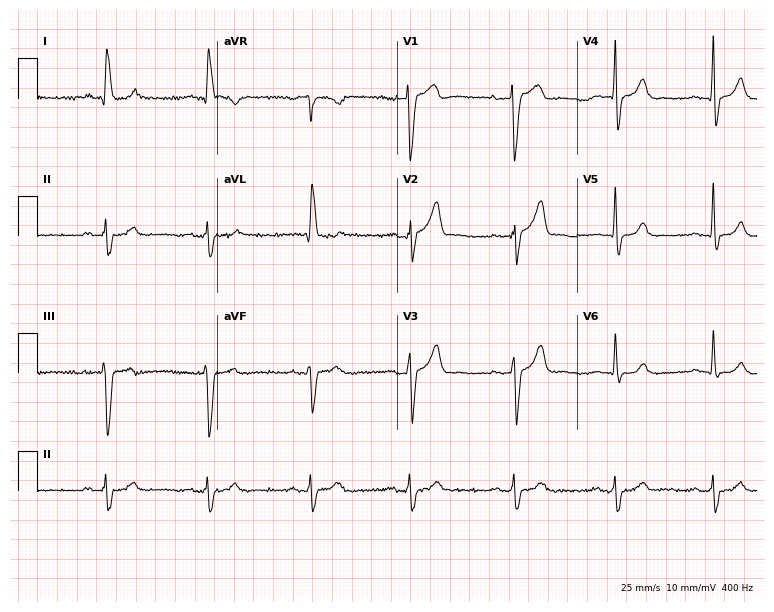
Electrocardiogram (7.3-second recording at 400 Hz), a 71-year-old male patient. Of the six screened findings (first-degree AV block, right bundle branch block, left bundle branch block, sinus bradycardia, atrial fibrillation, sinus tachycardia), none is recorded. Only these six findings were labelled.